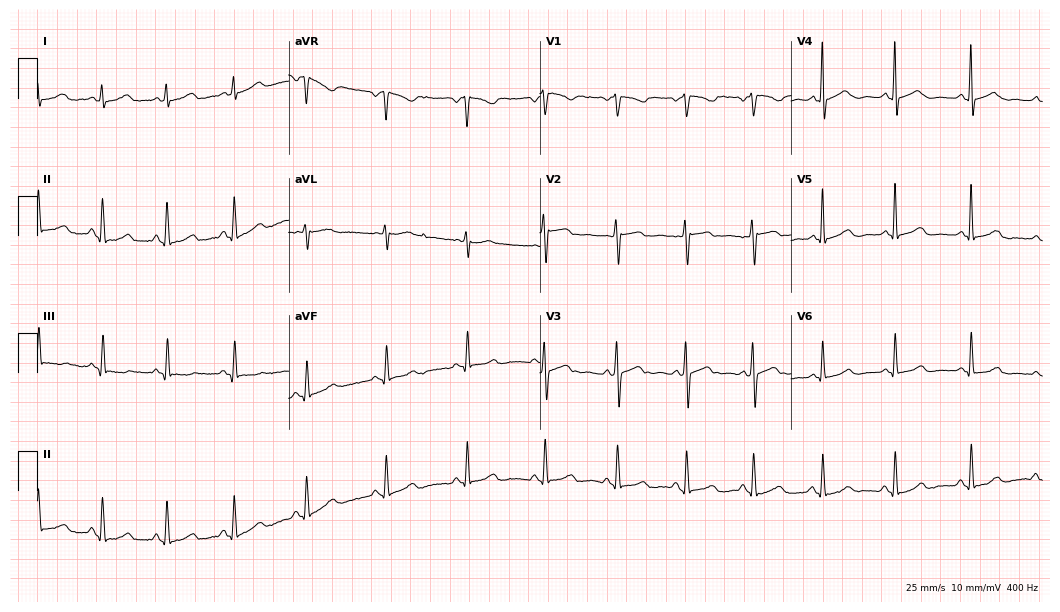
Resting 12-lead electrocardiogram (10.2-second recording at 400 Hz). Patient: a 43-year-old female. None of these six findings is recorded: first-degree AV block, right bundle branch block, left bundle branch block, sinus bradycardia, atrial fibrillation, sinus tachycardia. Findings outside these six are not listed.